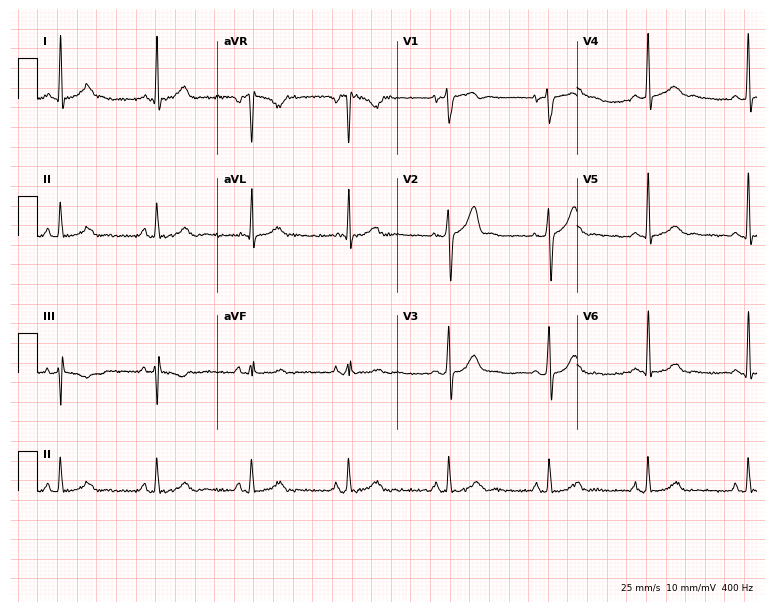
ECG (7.3-second recording at 400 Hz) — a male patient, 44 years old. Screened for six findings — first-degree AV block, right bundle branch block, left bundle branch block, sinus bradycardia, atrial fibrillation, sinus tachycardia — none is recorded.